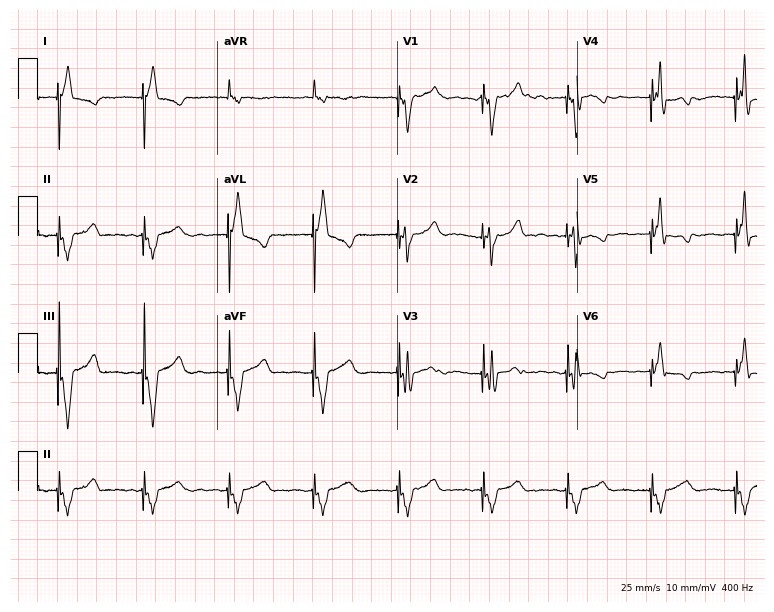
12-lead ECG (7.3-second recording at 400 Hz) from a woman, 81 years old. Screened for six findings — first-degree AV block, right bundle branch block, left bundle branch block, sinus bradycardia, atrial fibrillation, sinus tachycardia — none is recorded.